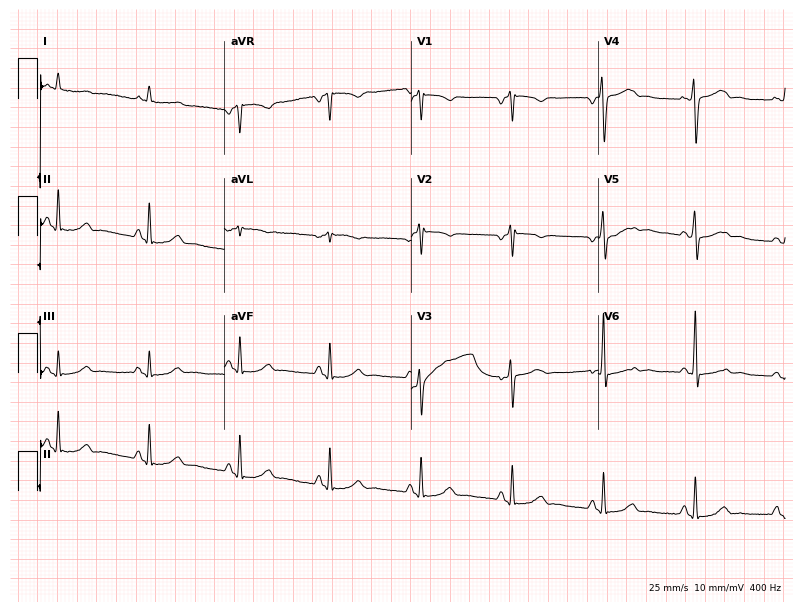
Resting 12-lead electrocardiogram (7.6-second recording at 400 Hz). Patient: a 61-year-old male. None of these six findings is recorded: first-degree AV block, right bundle branch block, left bundle branch block, sinus bradycardia, atrial fibrillation, sinus tachycardia. Other findings, if any, are not listed.